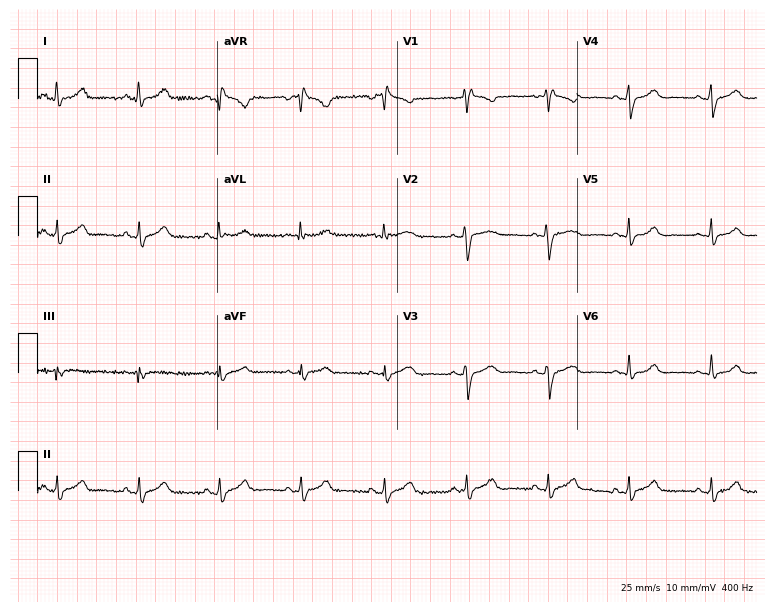
Electrocardiogram, a 45-year-old female patient. Of the six screened findings (first-degree AV block, right bundle branch block, left bundle branch block, sinus bradycardia, atrial fibrillation, sinus tachycardia), none is recorded. Findings outside these six are not listed.